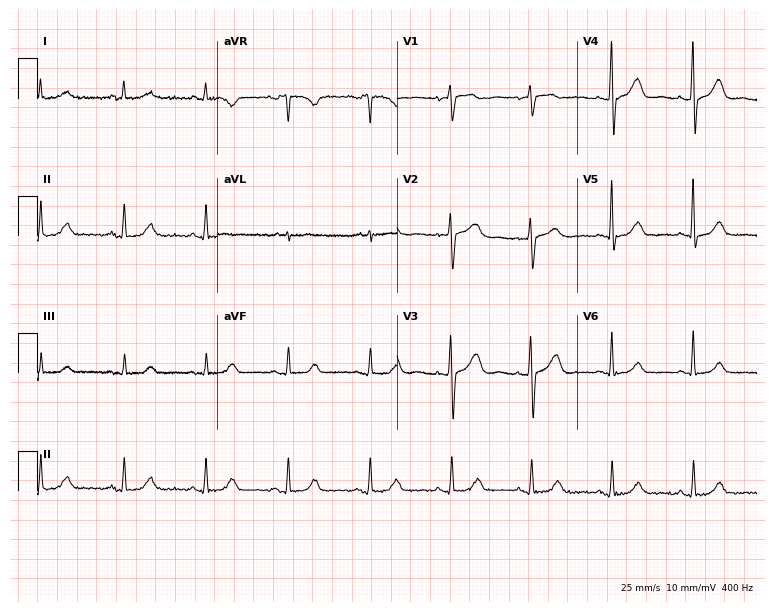
Standard 12-lead ECG recorded from a 65-year-old woman. None of these six findings is recorded: first-degree AV block, right bundle branch block (RBBB), left bundle branch block (LBBB), sinus bradycardia, atrial fibrillation (AF), sinus tachycardia. Findings outside these six are not listed.